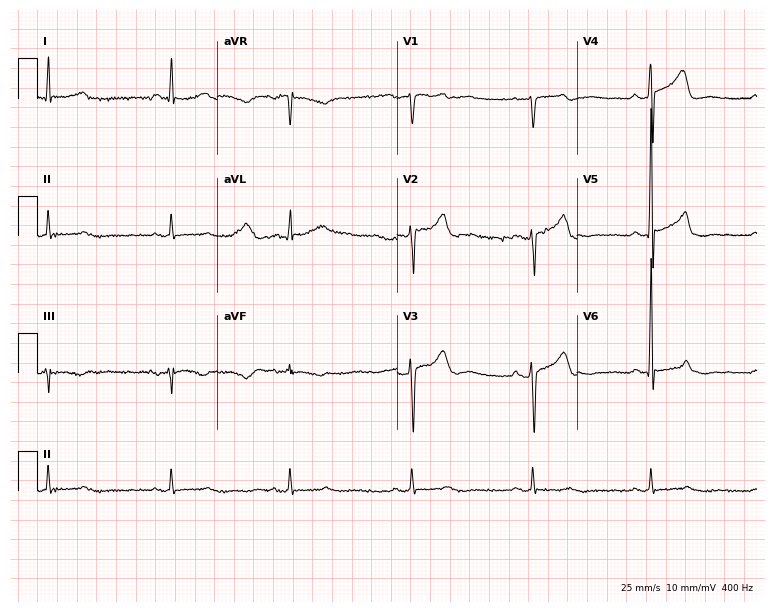
12-lead ECG from an 85-year-old male. Findings include sinus bradycardia (a sinus rate of 50 beats per minute or less).